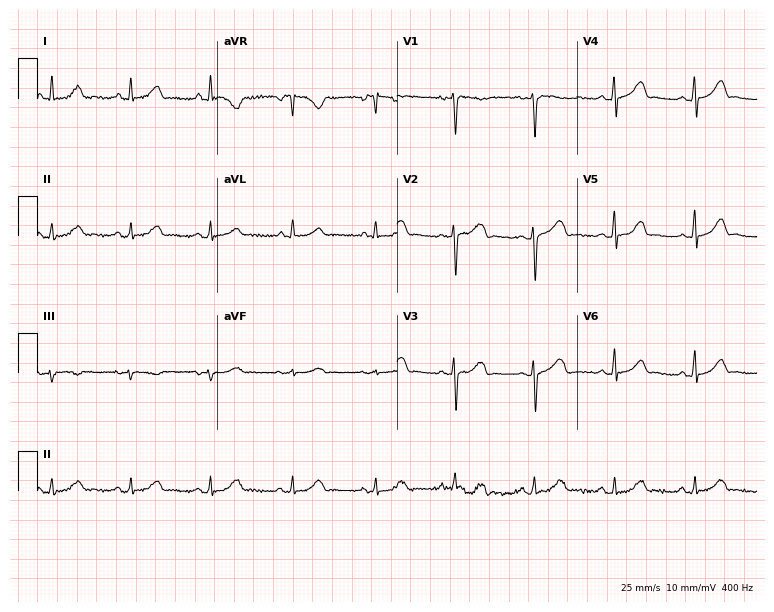
12-lead ECG from a woman, 32 years old (7.3-second recording at 400 Hz). Recorded interpretation: within normal limits.